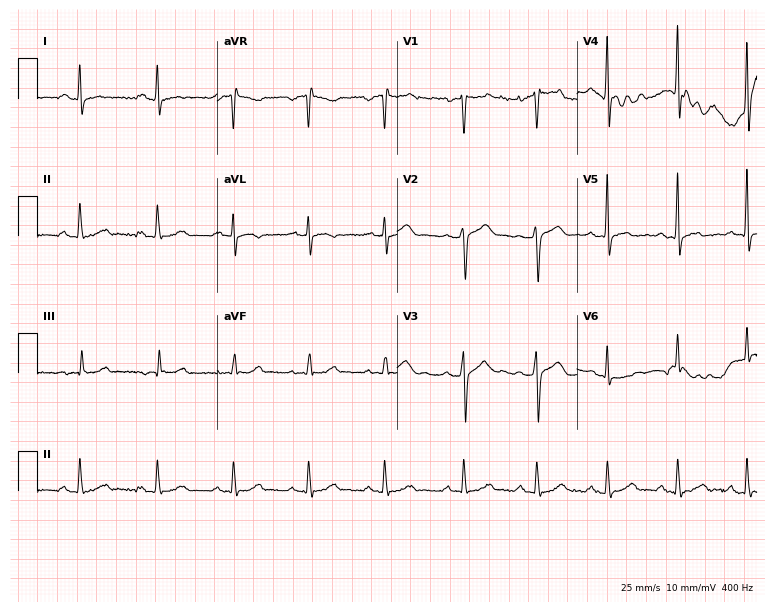
12-lead ECG from a 38-year-old man. Recorded interpretation: within normal limits.